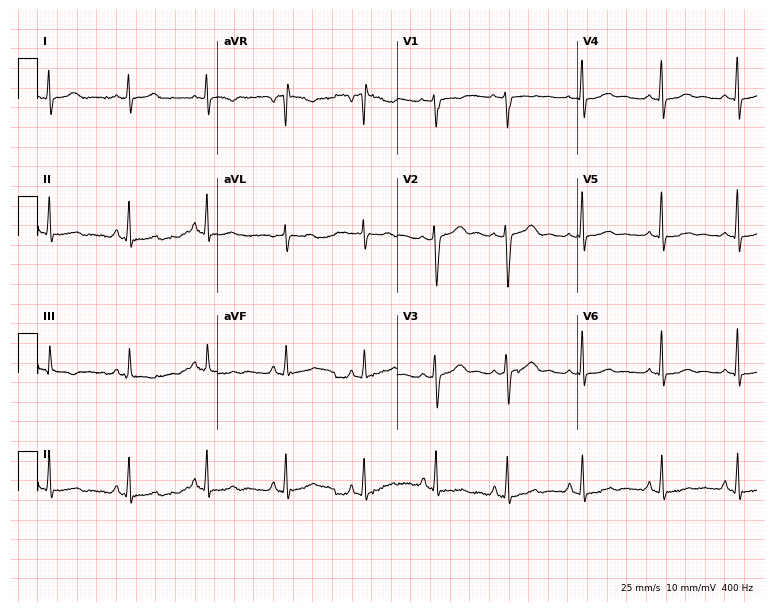
Resting 12-lead electrocardiogram (7.3-second recording at 400 Hz). Patient: a female, 28 years old. Read as a normal ECG.